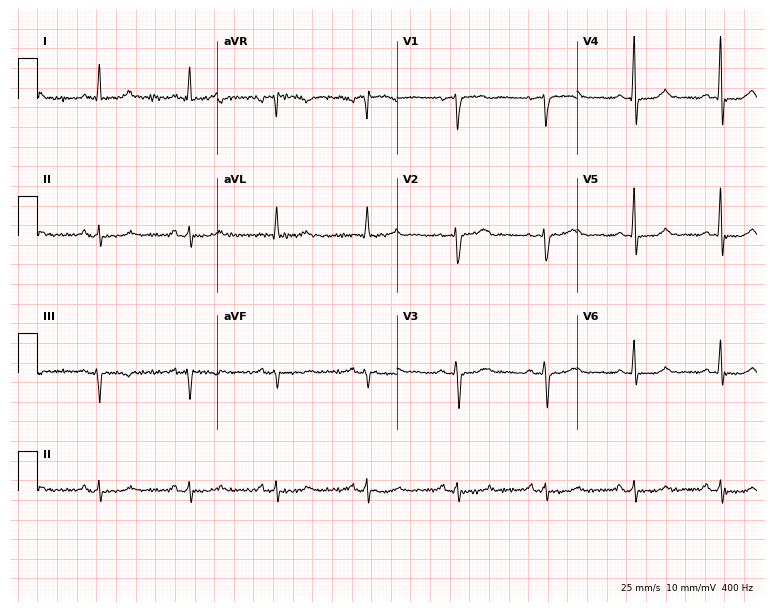
Resting 12-lead electrocardiogram (7.3-second recording at 400 Hz). Patient: a female, 57 years old. Read as a normal ECG.